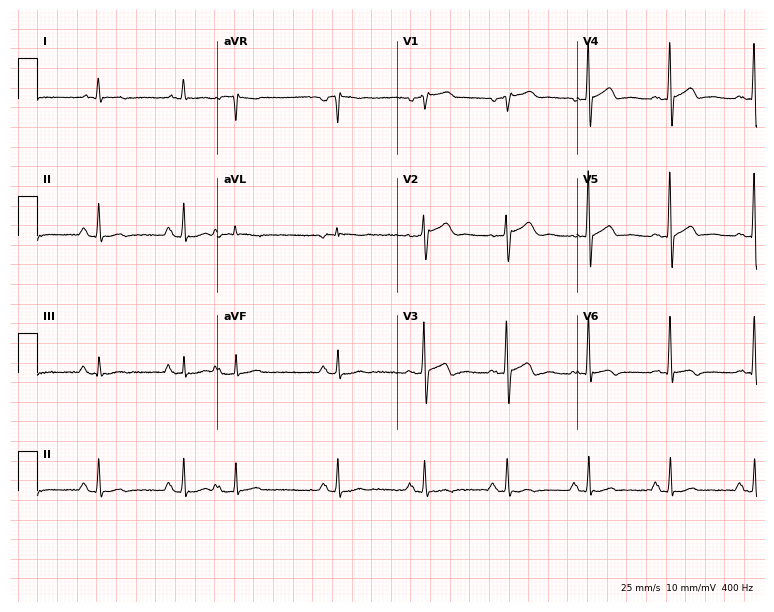
Electrocardiogram (7.3-second recording at 400 Hz), a man, 66 years old. Of the six screened findings (first-degree AV block, right bundle branch block, left bundle branch block, sinus bradycardia, atrial fibrillation, sinus tachycardia), none is recorded.